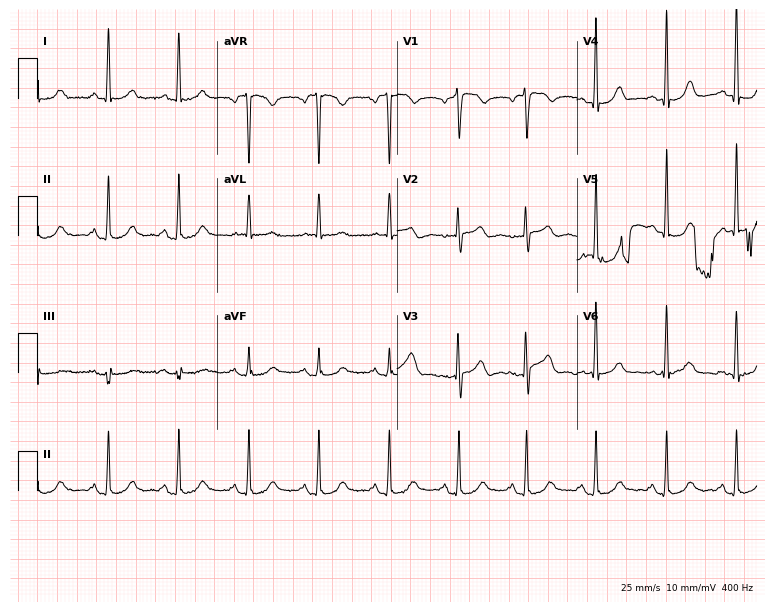
Electrocardiogram, a woman, 72 years old. Overall reading on record: normal ECG.